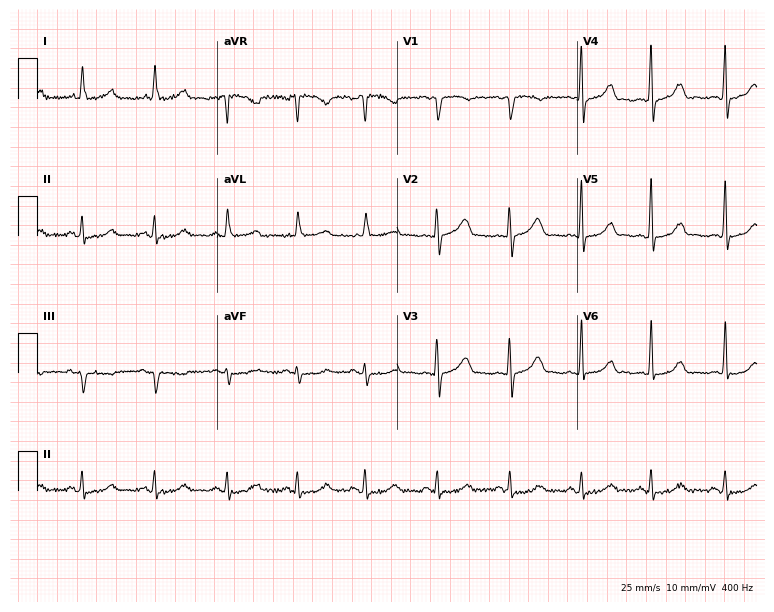
12-lead ECG (7.3-second recording at 400 Hz) from a female, 68 years old. Screened for six findings — first-degree AV block, right bundle branch block, left bundle branch block, sinus bradycardia, atrial fibrillation, sinus tachycardia — none is recorded. Findings outside these six are not listed.